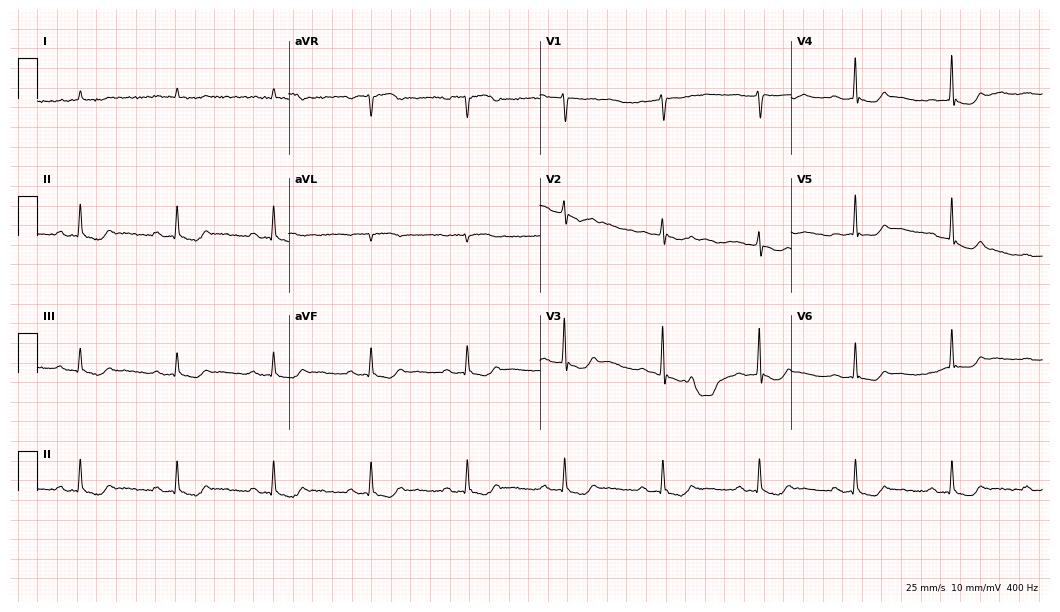
Standard 12-lead ECG recorded from an 80-year-old man (10.2-second recording at 400 Hz). The tracing shows first-degree AV block.